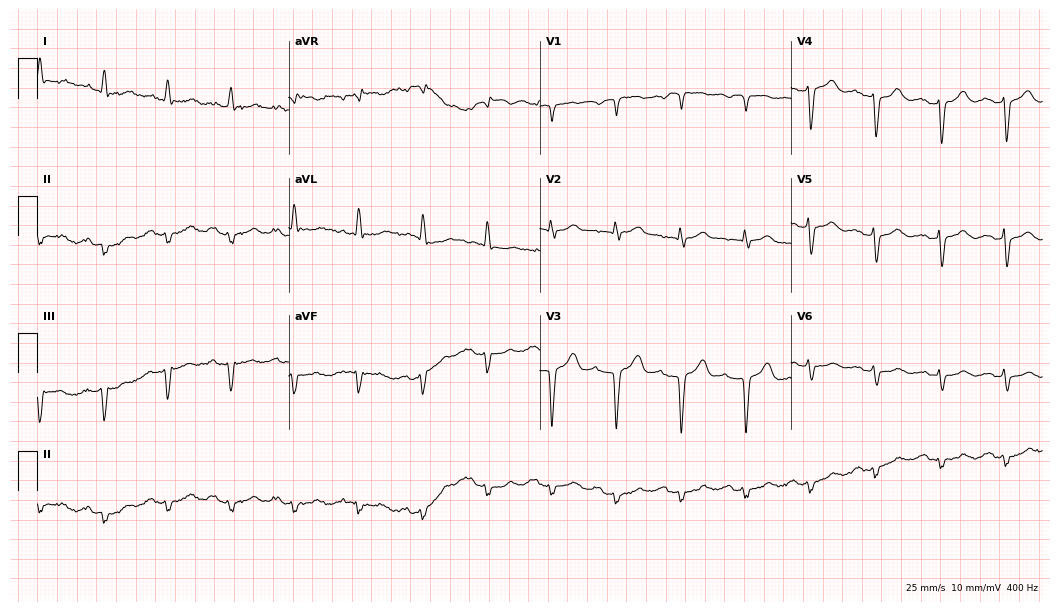
12-lead ECG from a male patient, 75 years old (10.2-second recording at 400 Hz). No first-degree AV block, right bundle branch block, left bundle branch block, sinus bradycardia, atrial fibrillation or sinus tachycardia recorded for this tracing. Other findings, if any, are not listed.